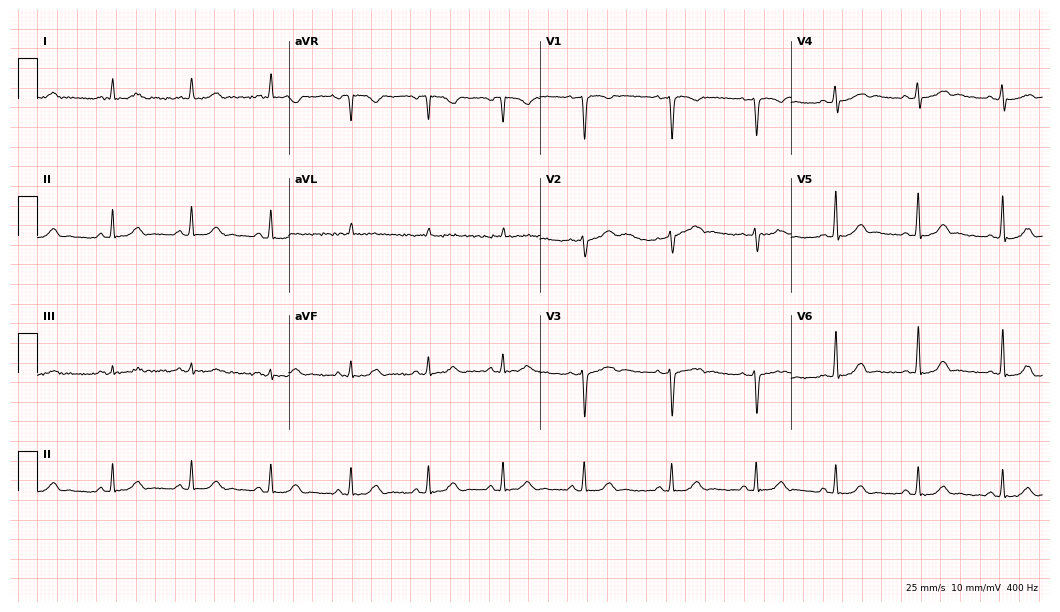
Standard 12-lead ECG recorded from a female, 36 years old. Read as a normal ECG.